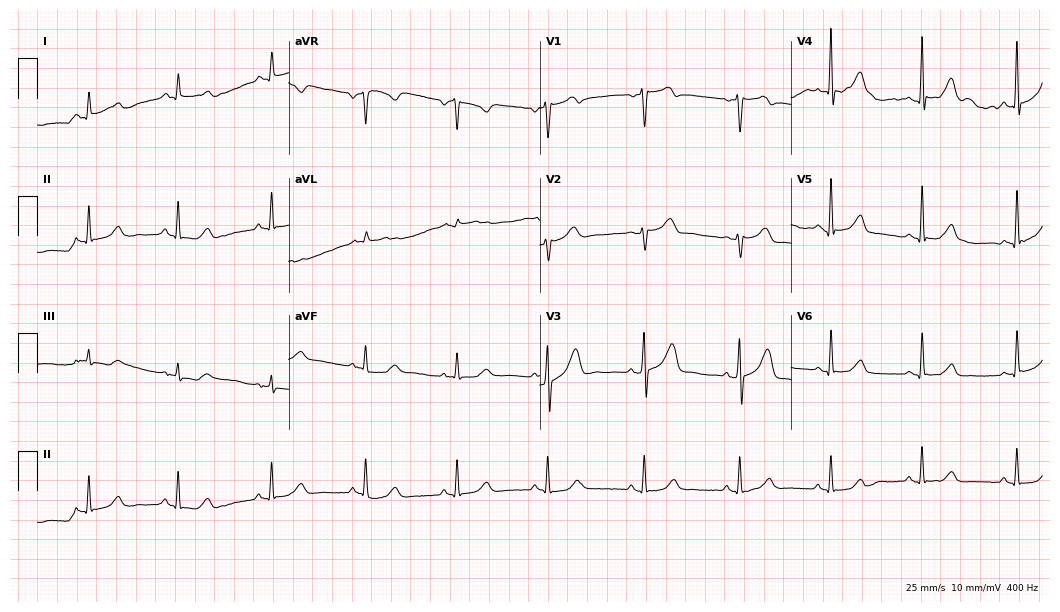
ECG — a 49-year-old male patient. Labelled as a normal ECG.